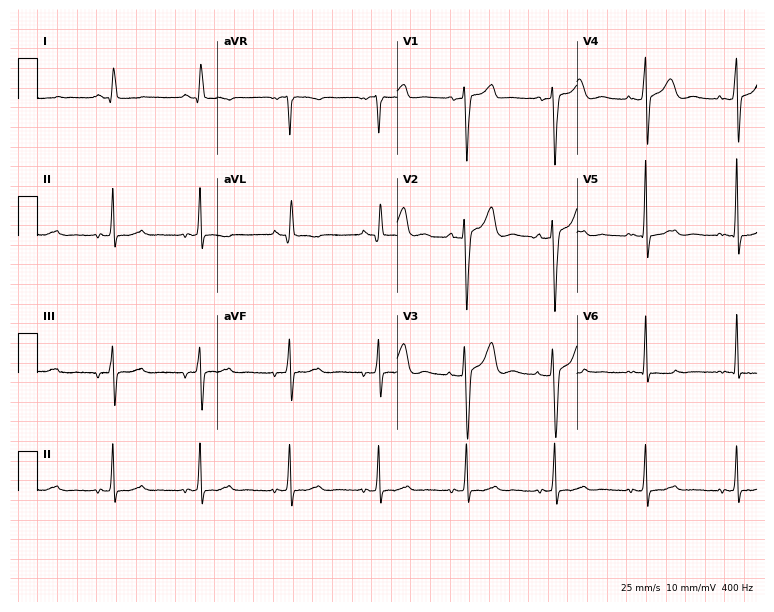
Electrocardiogram (7.3-second recording at 400 Hz), a woman, 80 years old. Overall reading on record: normal ECG.